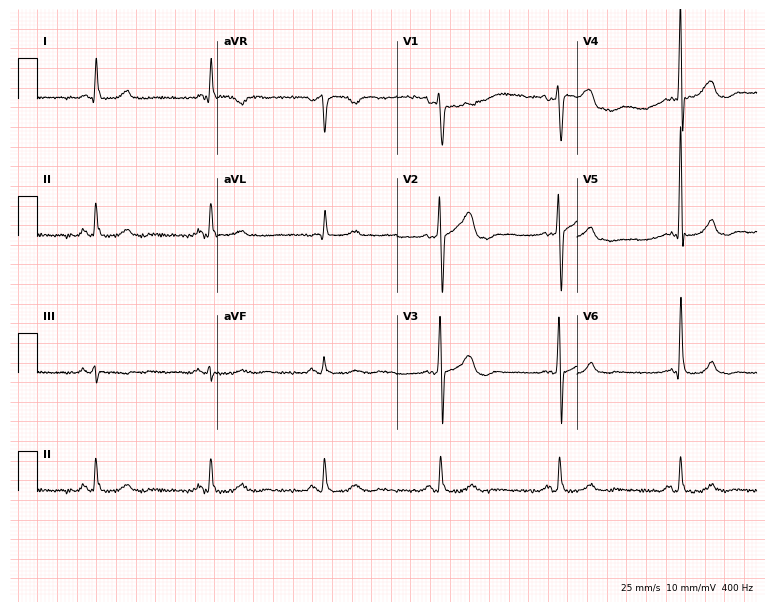
Resting 12-lead electrocardiogram (7.3-second recording at 400 Hz). Patient: a man, 67 years old. The tracing shows sinus bradycardia (a sinus rate of 50 beats per minute or less).